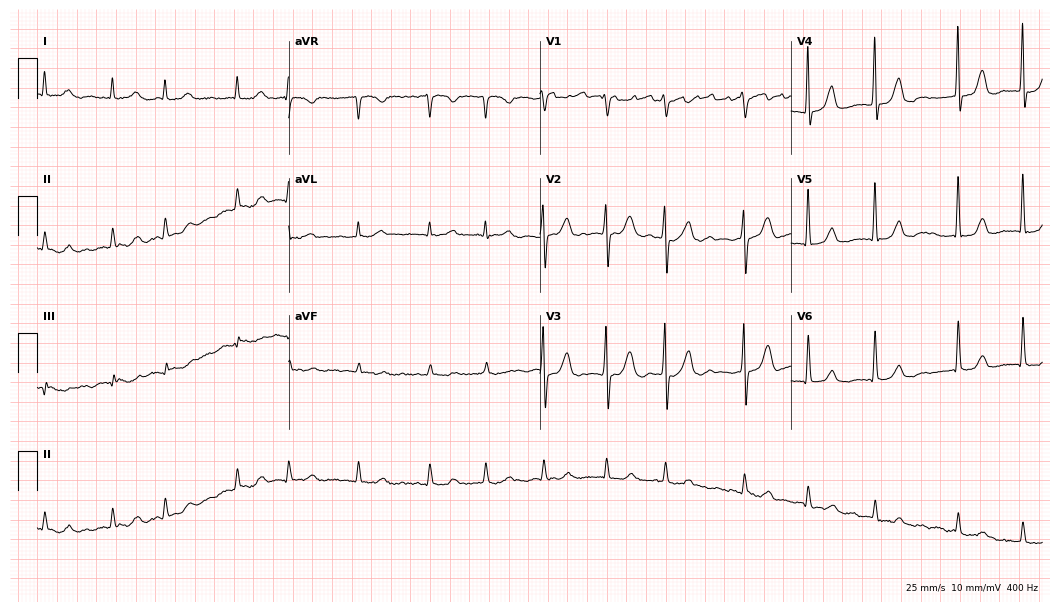
ECG — a 69-year-old female. Findings include atrial fibrillation (AF).